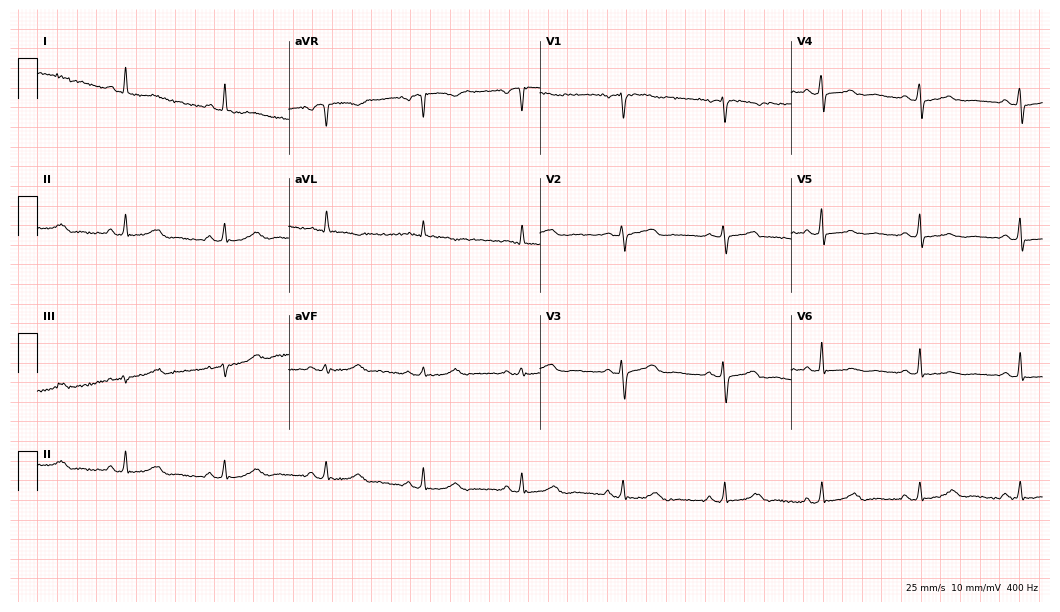
ECG (10.2-second recording at 400 Hz) — a female patient, 58 years old. Labelled as a normal ECG.